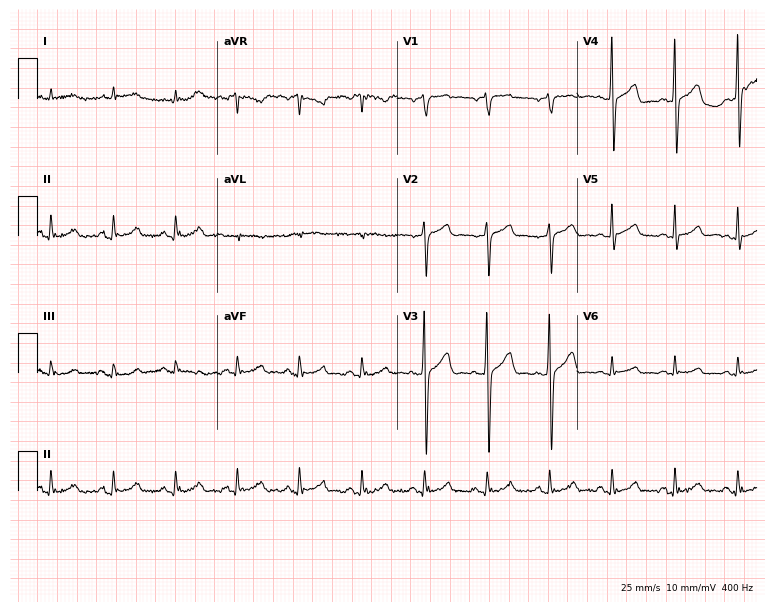
12-lead ECG (7.3-second recording at 400 Hz) from a male, 60 years old. Labelled as a normal ECG.